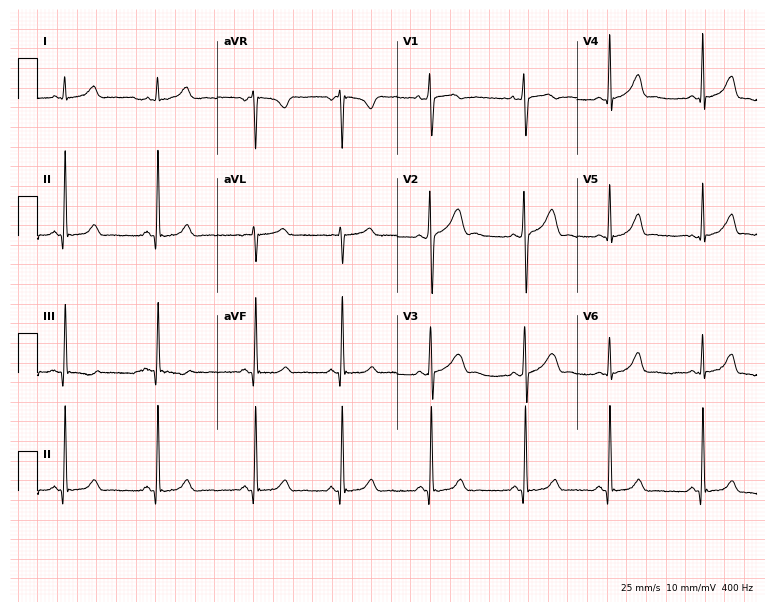
Standard 12-lead ECG recorded from a female, 24 years old. Read as a normal ECG.